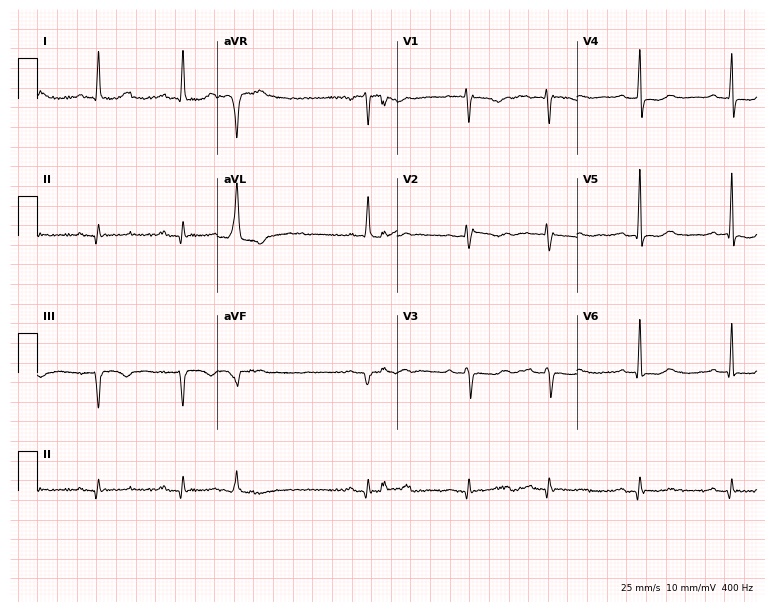
Standard 12-lead ECG recorded from an 83-year-old female. None of these six findings is recorded: first-degree AV block, right bundle branch block (RBBB), left bundle branch block (LBBB), sinus bradycardia, atrial fibrillation (AF), sinus tachycardia. Other findings, if any, are not listed.